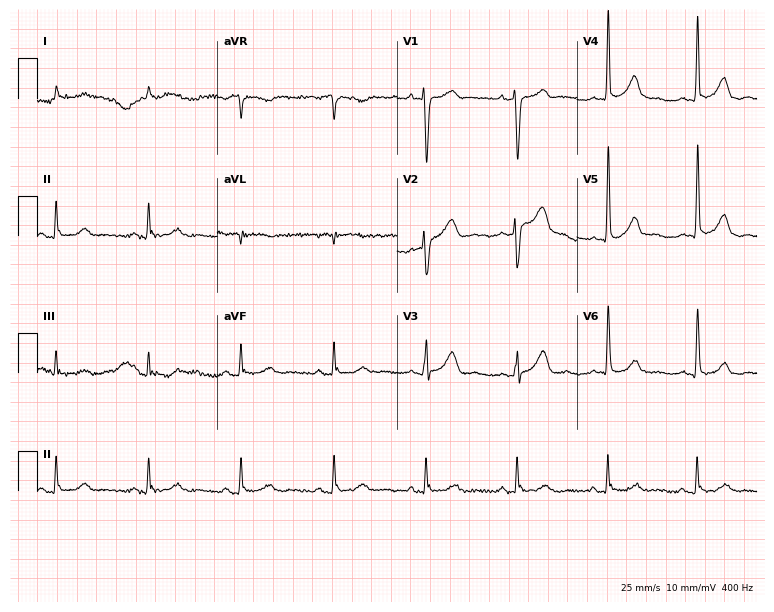
Electrocardiogram (7.3-second recording at 400 Hz), an 83-year-old male patient. Overall reading on record: normal ECG.